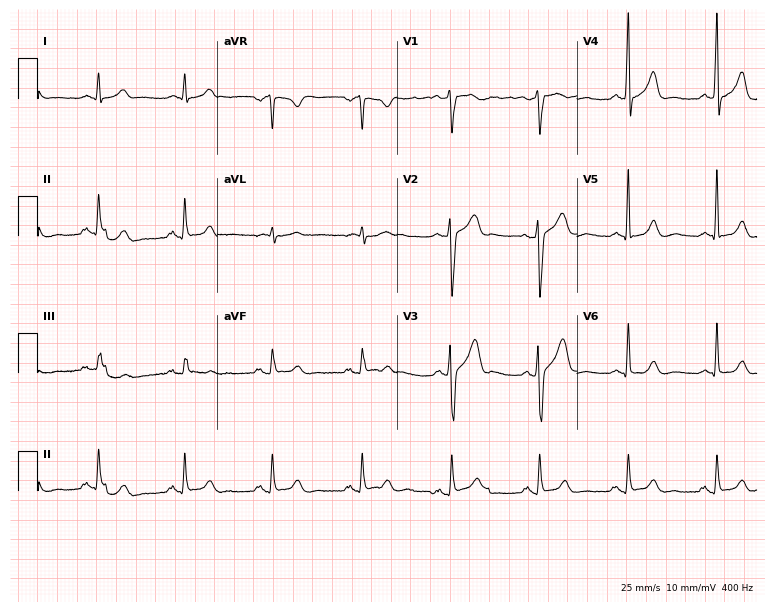
Resting 12-lead electrocardiogram. Patient: a male, 56 years old. Read as a normal ECG.